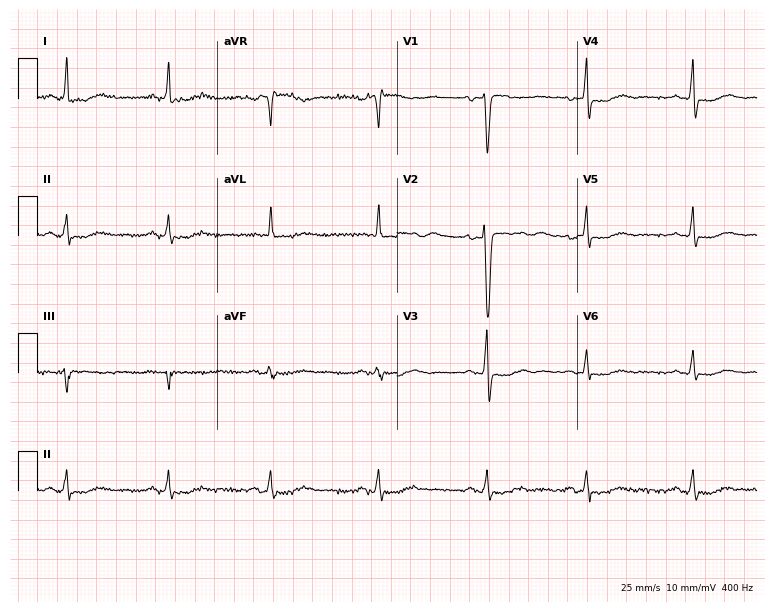
Electrocardiogram, a 44-year-old female patient. Of the six screened findings (first-degree AV block, right bundle branch block, left bundle branch block, sinus bradycardia, atrial fibrillation, sinus tachycardia), none is recorded.